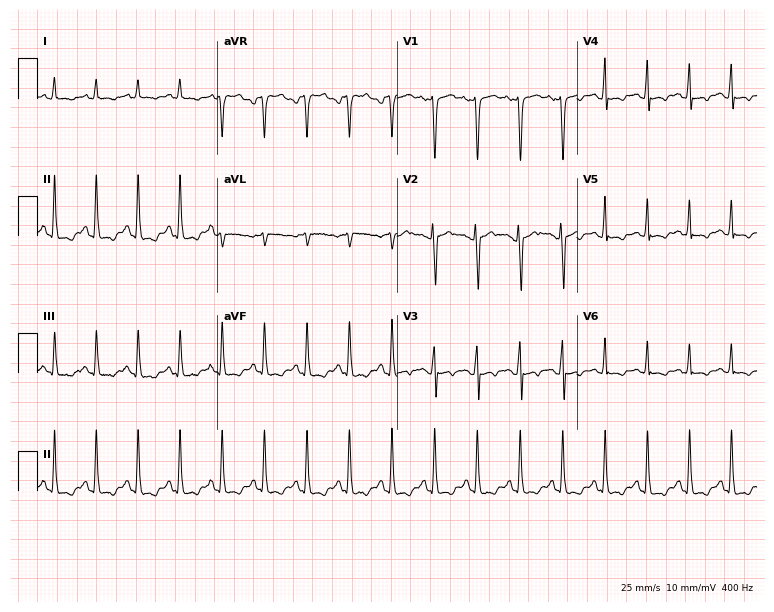
Electrocardiogram, an 18-year-old female. Of the six screened findings (first-degree AV block, right bundle branch block (RBBB), left bundle branch block (LBBB), sinus bradycardia, atrial fibrillation (AF), sinus tachycardia), none is recorded. Other findings, if any, are not listed.